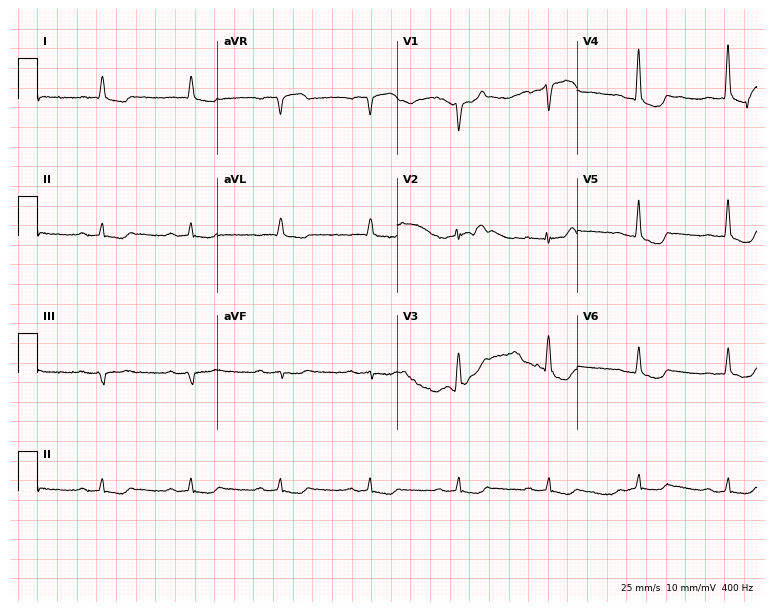
ECG (7.3-second recording at 400 Hz) — a 77-year-old male. Screened for six findings — first-degree AV block, right bundle branch block, left bundle branch block, sinus bradycardia, atrial fibrillation, sinus tachycardia — none is recorded.